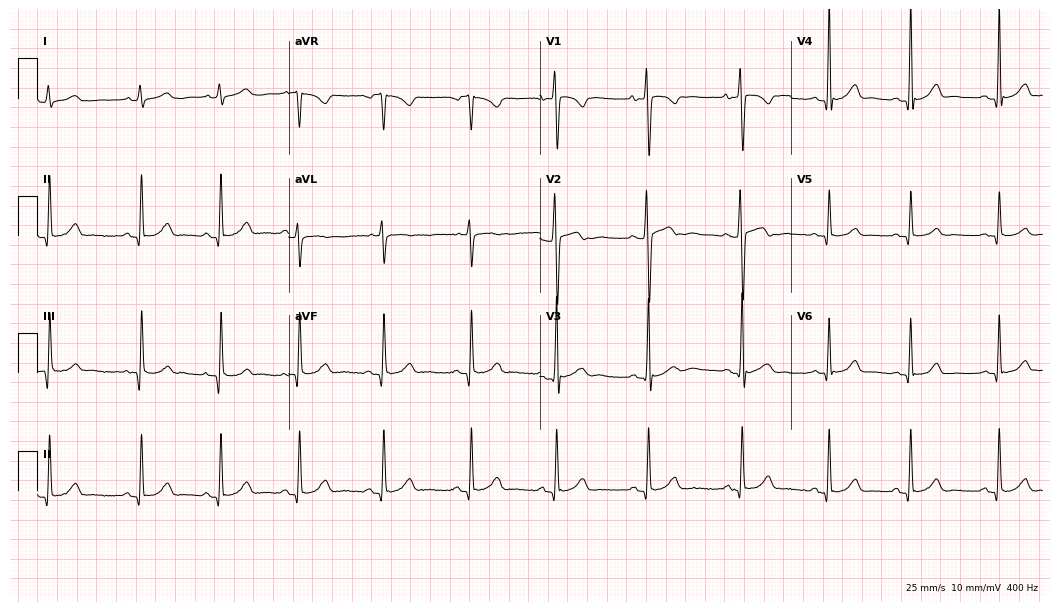
12-lead ECG from a 17-year-old male (10.2-second recording at 400 Hz). No first-degree AV block, right bundle branch block, left bundle branch block, sinus bradycardia, atrial fibrillation or sinus tachycardia recorded for this tracing.